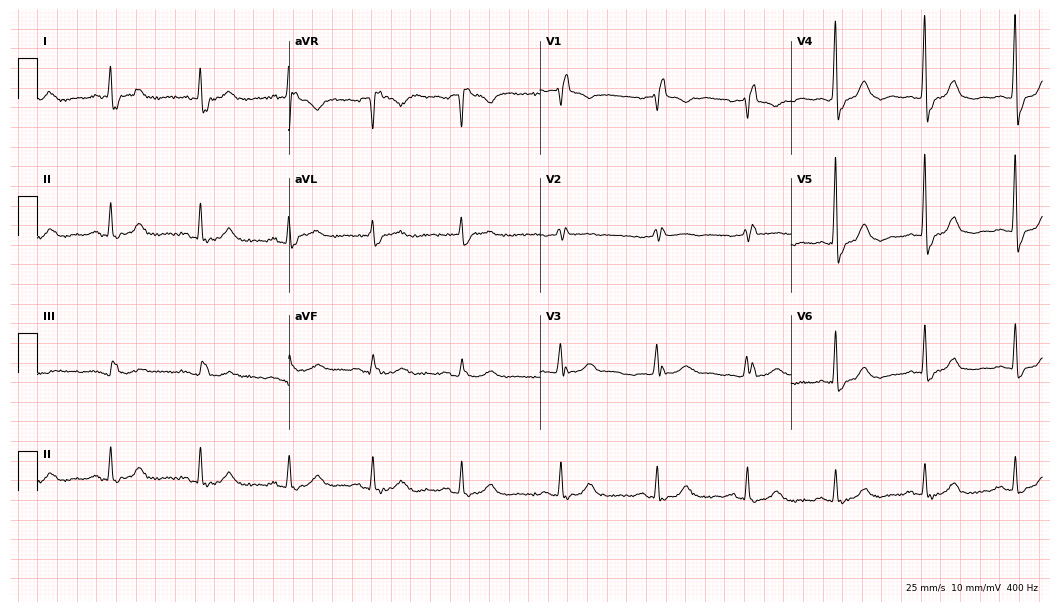
ECG (10.2-second recording at 400 Hz) — a female, 84 years old. Findings include right bundle branch block.